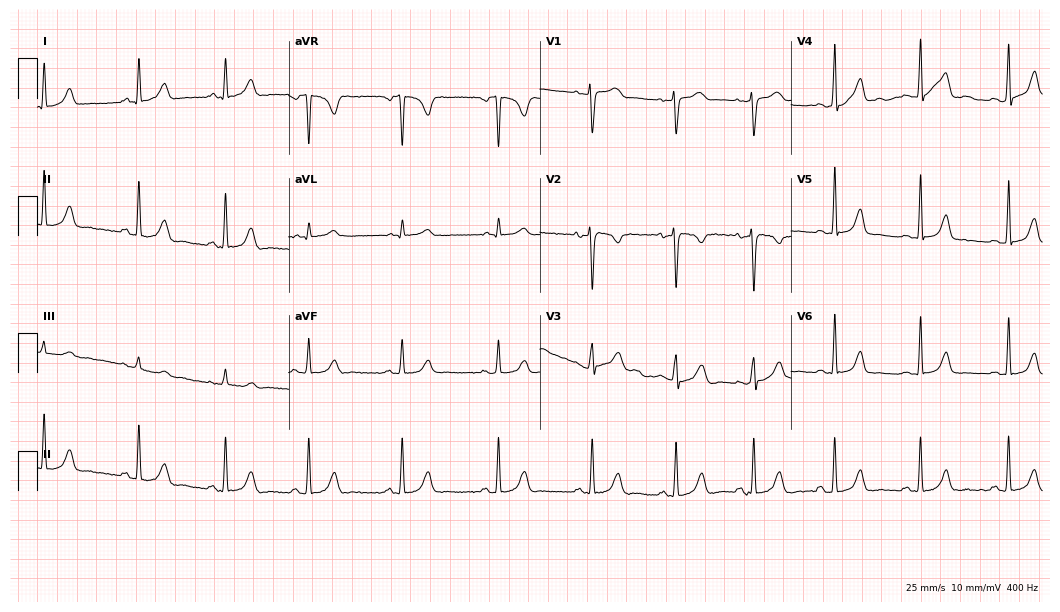
12-lead ECG from a female, 19 years old. Labelled as a normal ECG.